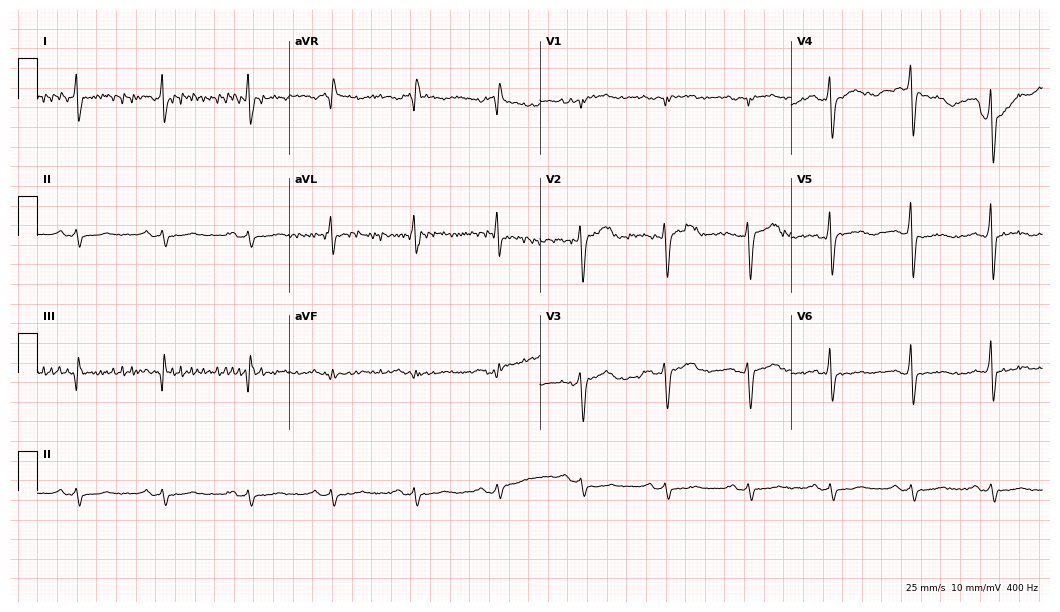
Electrocardiogram, a male patient, 49 years old. Of the six screened findings (first-degree AV block, right bundle branch block, left bundle branch block, sinus bradycardia, atrial fibrillation, sinus tachycardia), none is recorded. Other findings, if any, are not listed.